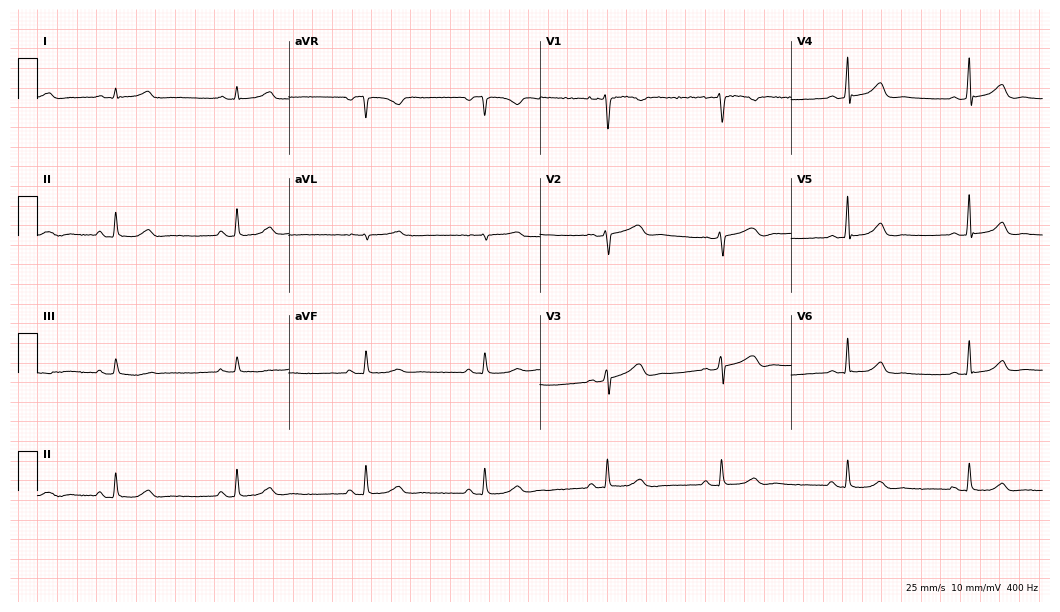
Standard 12-lead ECG recorded from a woman, 38 years old (10.2-second recording at 400 Hz). The tracing shows sinus bradycardia (a sinus rate of 50 beats per minute or less).